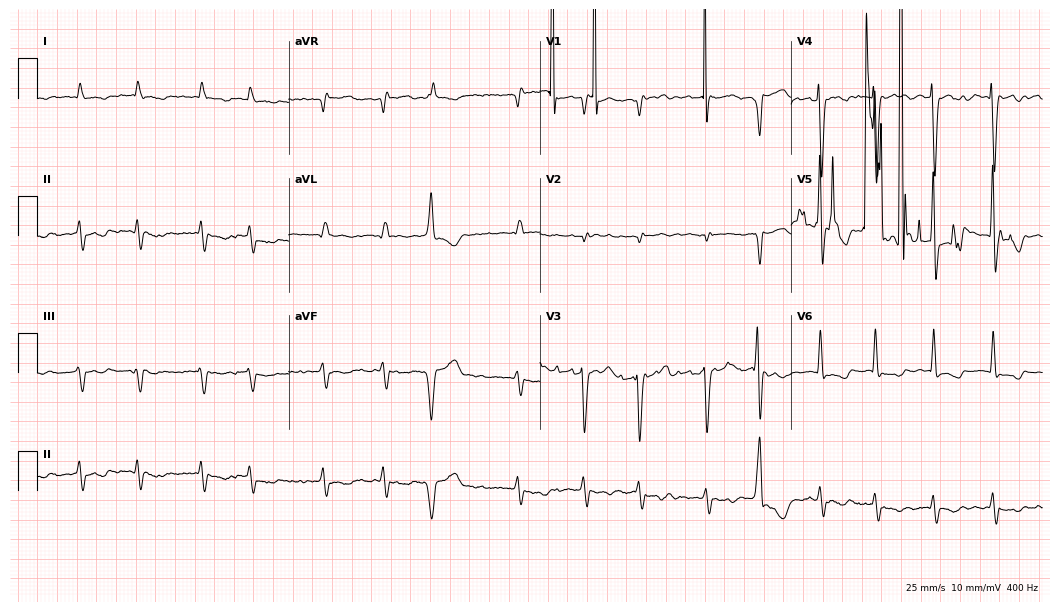
Resting 12-lead electrocardiogram. Patient: an 80-year-old man. None of these six findings is recorded: first-degree AV block, right bundle branch block (RBBB), left bundle branch block (LBBB), sinus bradycardia, atrial fibrillation (AF), sinus tachycardia.